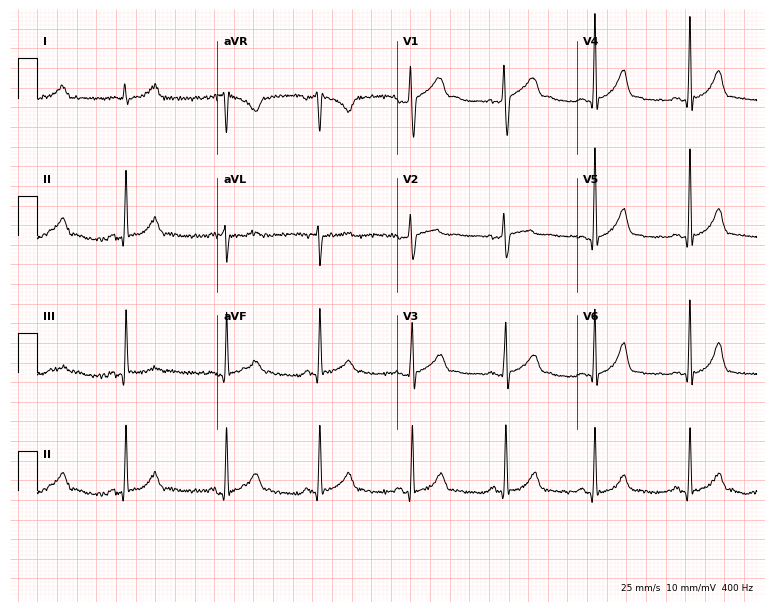
12-lead ECG from a 28-year-old male. No first-degree AV block, right bundle branch block, left bundle branch block, sinus bradycardia, atrial fibrillation or sinus tachycardia recorded for this tracing. Other findings, if any, are not listed.